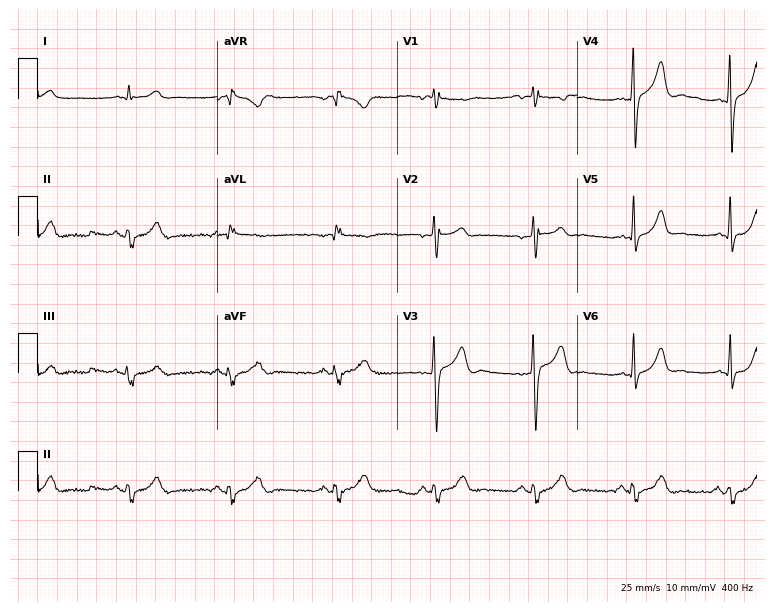
ECG (7.3-second recording at 400 Hz) — a 35-year-old man. Screened for six findings — first-degree AV block, right bundle branch block, left bundle branch block, sinus bradycardia, atrial fibrillation, sinus tachycardia — none is recorded.